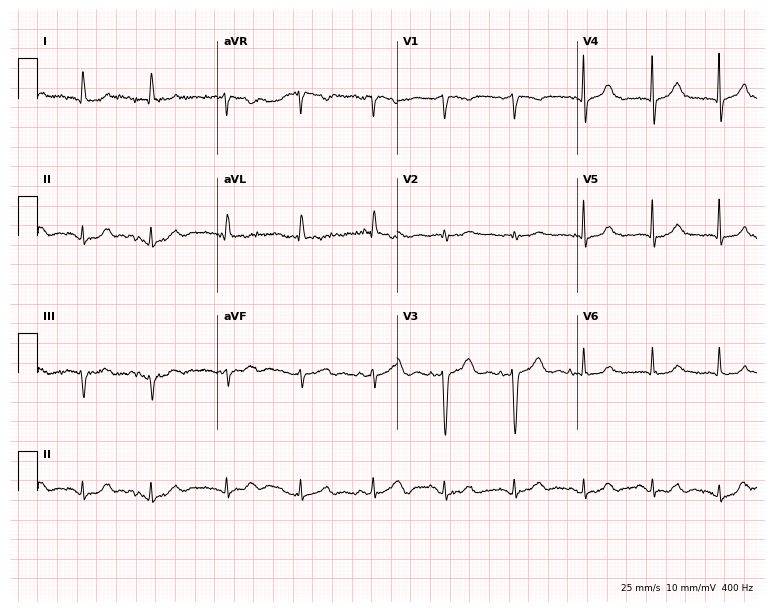
12-lead ECG from a female, 83 years old. No first-degree AV block, right bundle branch block, left bundle branch block, sinus bradycardia, atrial fibrillation or sinus tachycardia recorded for this tracing.